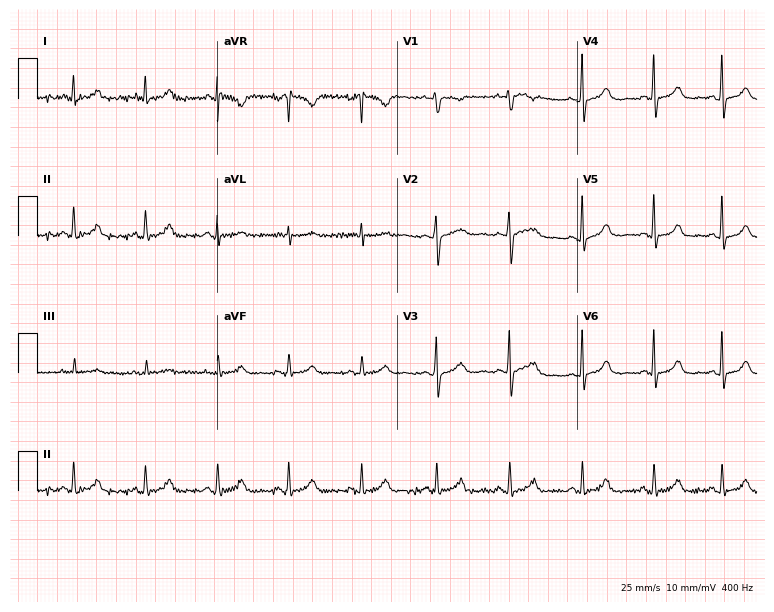
Electrocardiogram (7.3-second recording at 400 Hz), a 48-year-old female patient. Of the six screened findings (first-degree AV block, right bundle branch block, left bundle branch block, sinus bradycardia, atrial fibrillation, sinus tachycardia), none is recorded. Other findings, if any, are not listed.